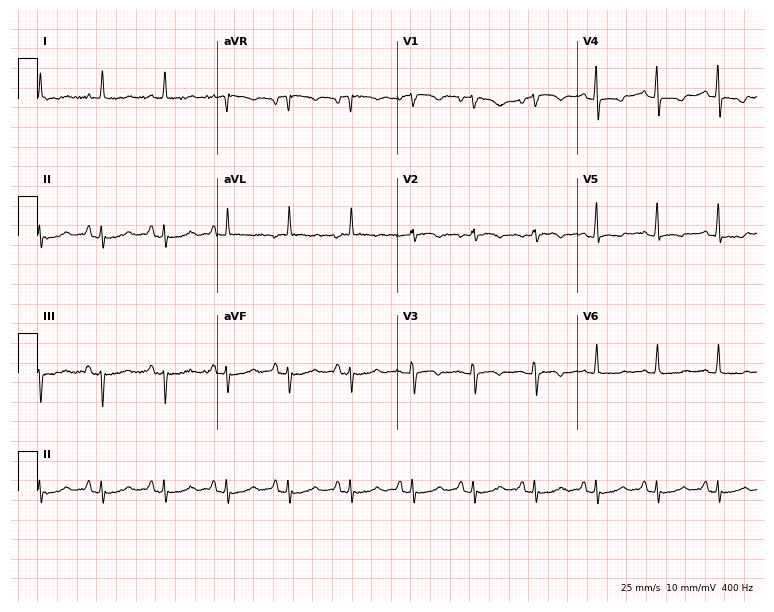
12-lead ECG from a female, 54 years old. Screened for six findings — first-degree AV block, right bundle branch block, left bundle branch block, sinus bradycardia, atrial fibrillation, sinus tachycardia — none is recorded.